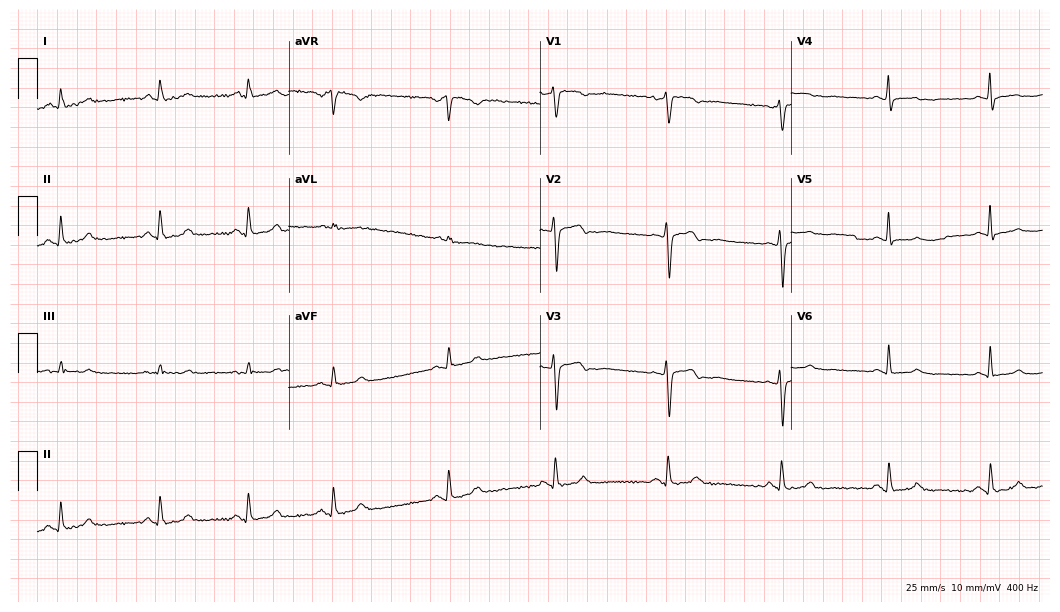
Resting 12-lead electrocardiogram. Patient: a female, 40 years old. None of these six findings is recorded: first-degree AV block, right bundle branch block, left bundle branch block, sinus bradycardia, atrial fibrillation, sinus tachycardia.